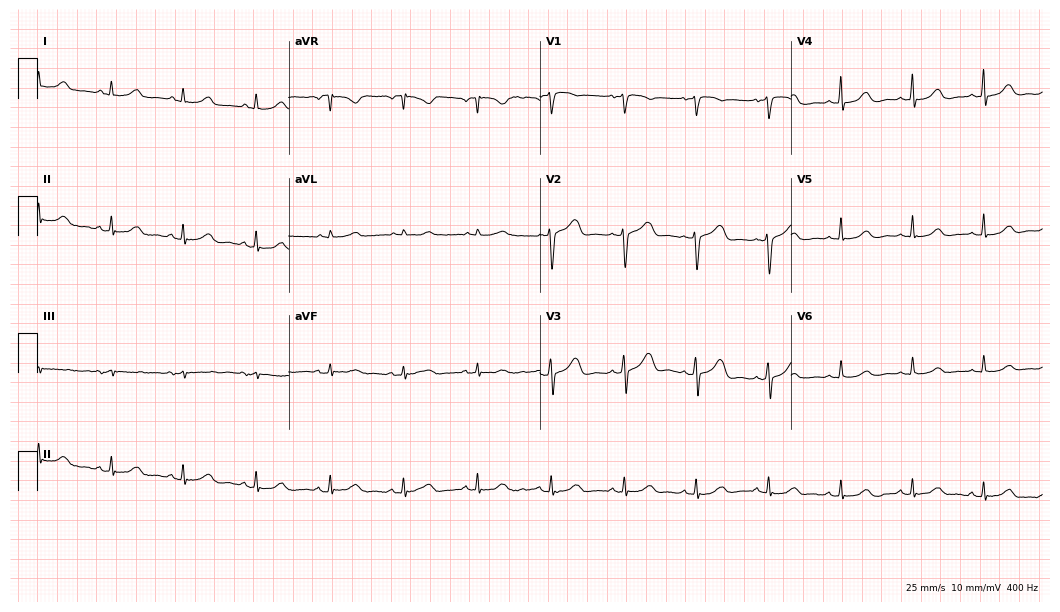
Resting 12-lead electrocardiogram. Patient: a female, 62 years old. Read as a normal ECG.